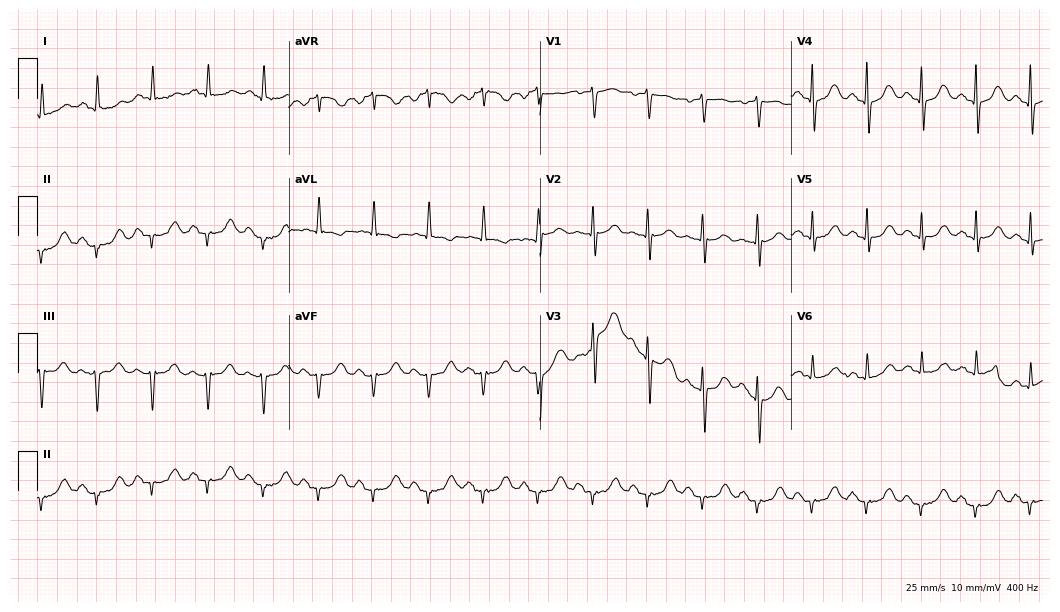
ECG — a female, 84 years old. Findings include sinus tachycardia (a sinus rate of 100 beats per minute or more).